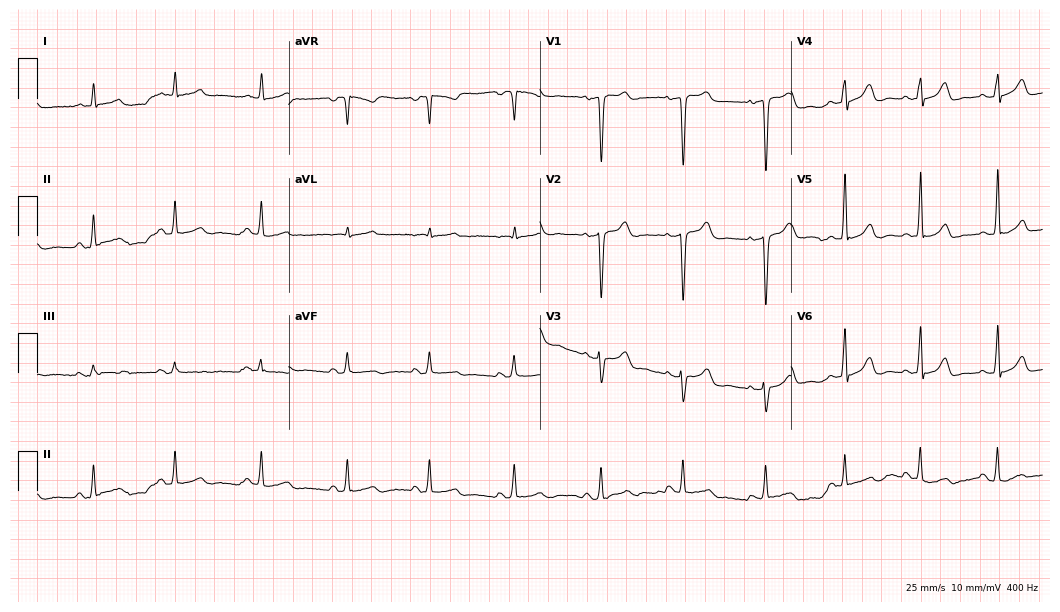
Standard 12-lead ECG recorded from a male patient, 44 years old (10.2-second recording at 400 Hz). None of these six findings is recorded: first-degree AV block, right bundle branch block (RBBB), left bundle branch block (LBBB), sinus bradycardia, atrial fibrillation (AF), sinus tachycardia.